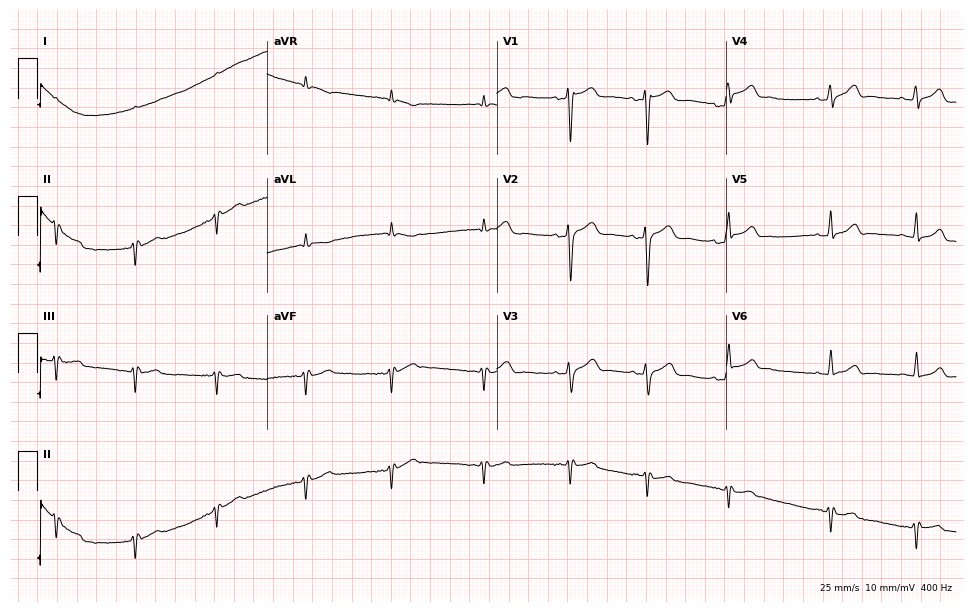
ECG (9.4-second recording at 400 Hz) — a female patient, 29 years old. Screened for six findings — first-degree AV block, right bundle branch block, left bundle branch block, sinus bradycardia, atrial fibrillation, sinus tachycardia — none is recorded. Other findings, if any, are not listed.